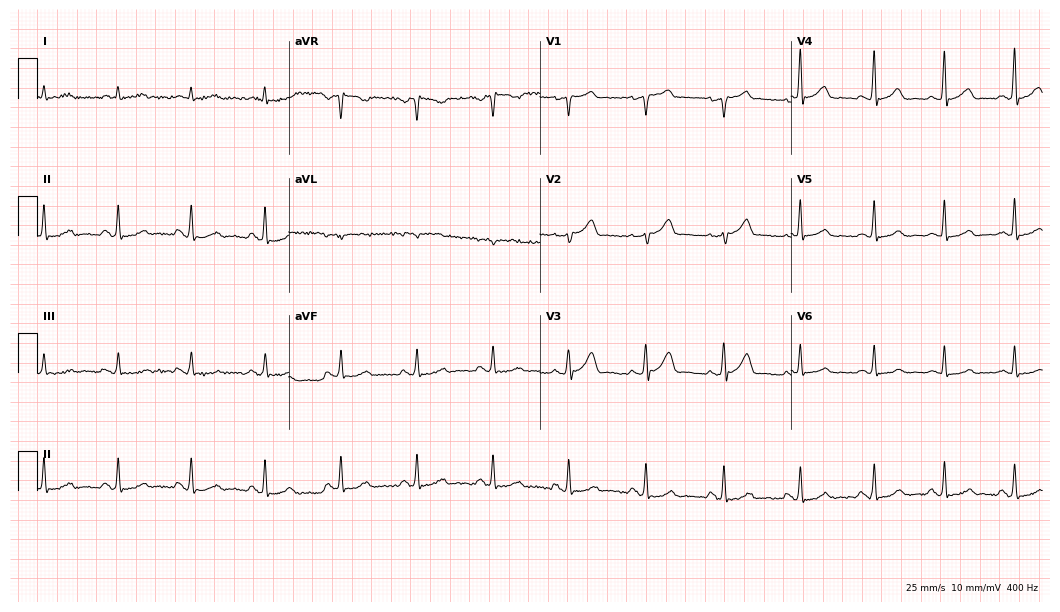
Electrocardiogram (10.2-second recording at 400 Hz), a 56-year-old man. Overall reading on record: normal ECG.